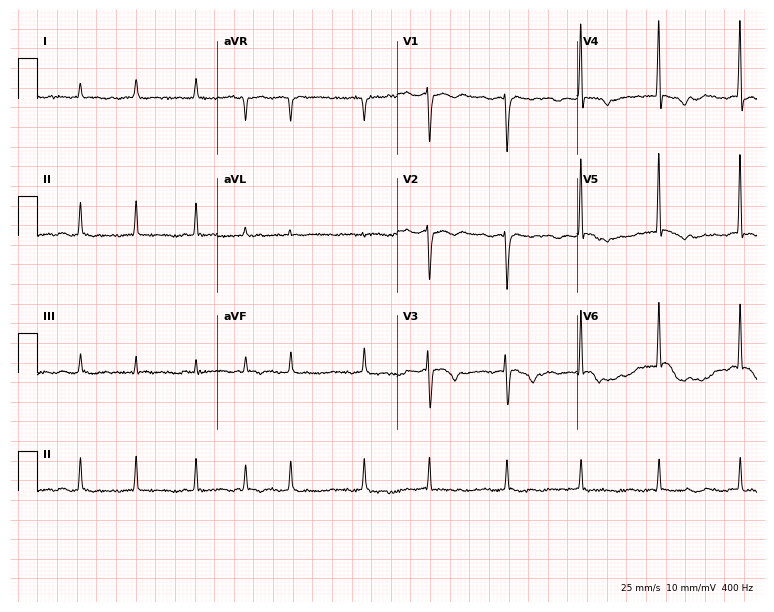
Resting 12-lead electrocardiogram (7.3-second recording at 400 Hz). Patient: a 56-year-old woman. The tracing shows atrial fibrillation.